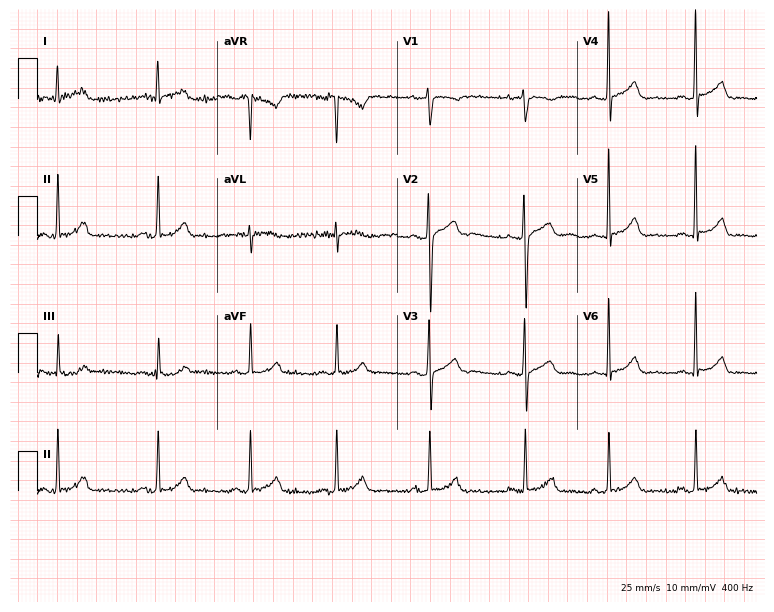
12-lead ECG (7.3-second recording at 400 Hz) from a male, 35 years old. Screened for six findings — first-degree AV block, right bundle branch block, left bundle branch block, sinus bradycardia, atrial fibrillation, sinus tachycardia — none is recorded.